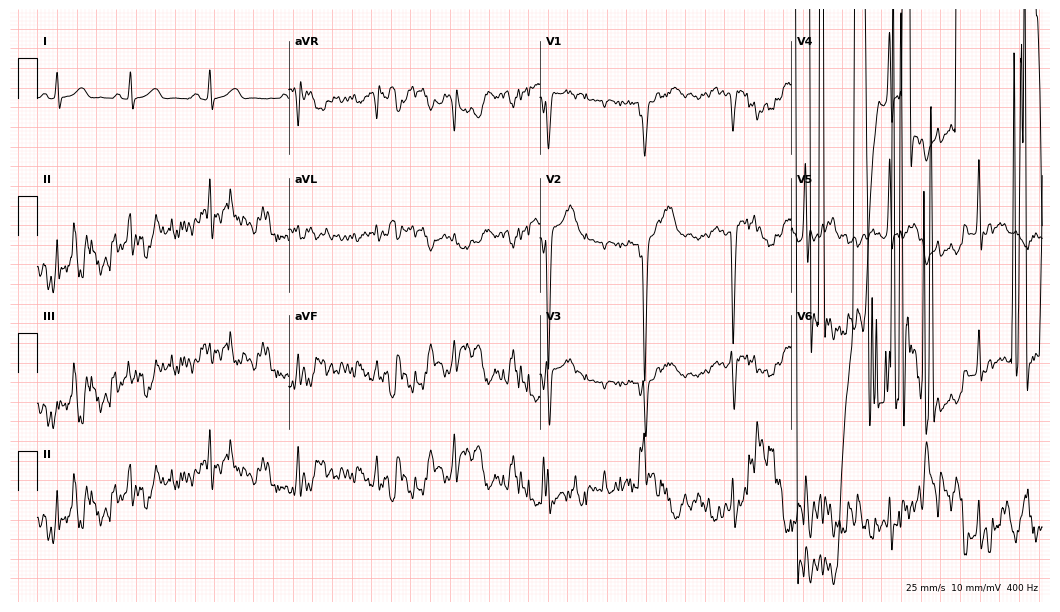
Resting 12-lead electrocardiogram (10.2-second recording at 400 Hz). Patient: a male, 17 years old. None of these six findings is recorded: first-degree AV block, right bundle branch block, left bundle branch block, sinus bradycardia, atrial fibrillation, sinus tachycardia. Other findings, if any, are not listed.